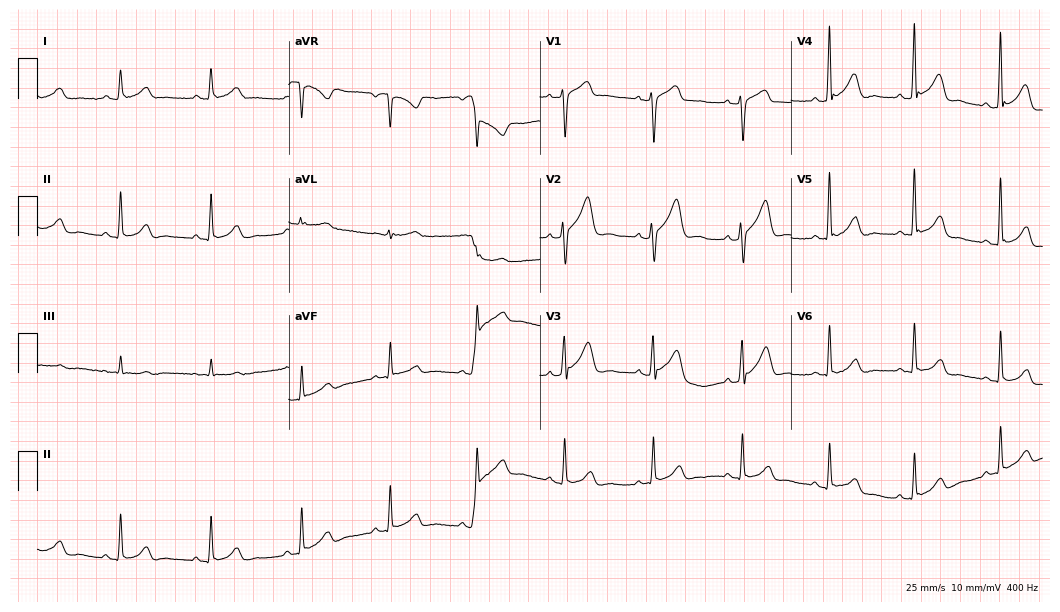
Electrocardiogram (10.2-second recording at 400 Hz), a male patient, 39 years old. Overall reading on record: normal ECG.